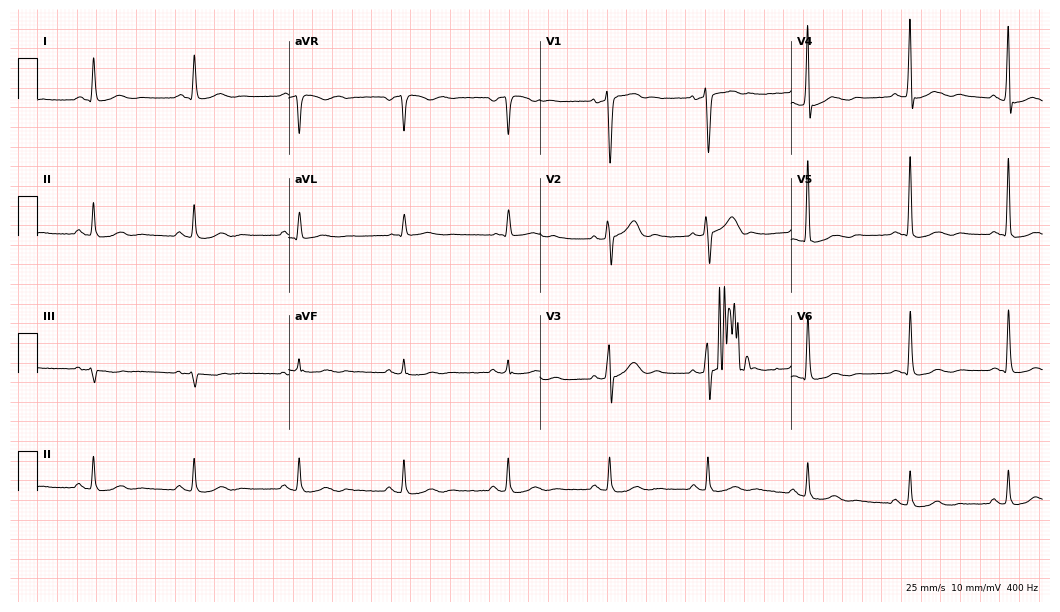
Resting 12-lead electrocardiogram (10.2-second recording at 400 Hz). Patient: a female, 43 years old. Read as a normal ECG.